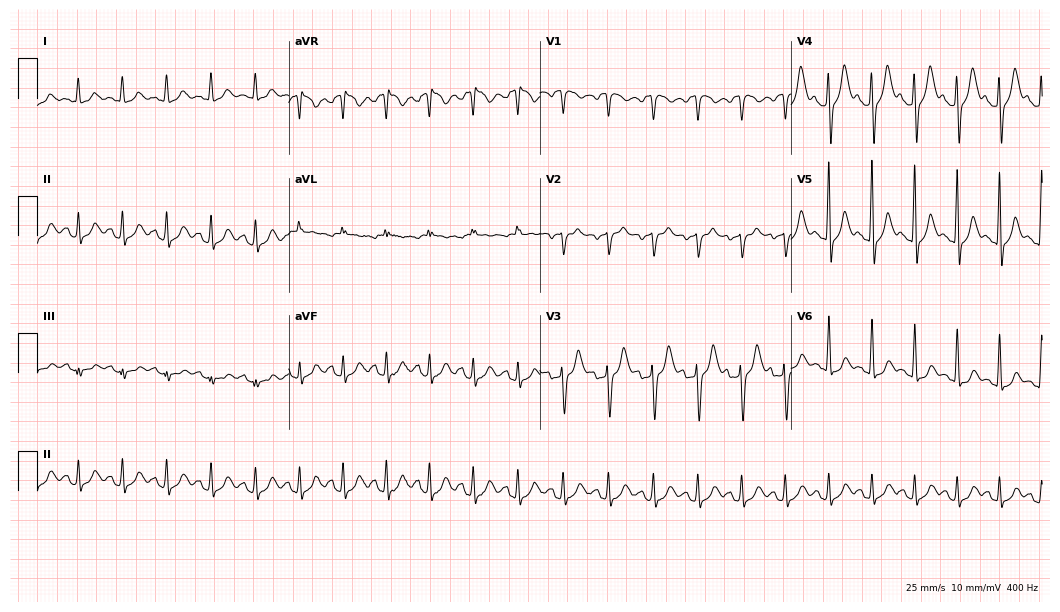
12-lead ECG from a 39-year-old woman (10.2-second recording at 400 Hz). Shows sinus tachycardia (a sinus rate of 100 beats per minute or more).